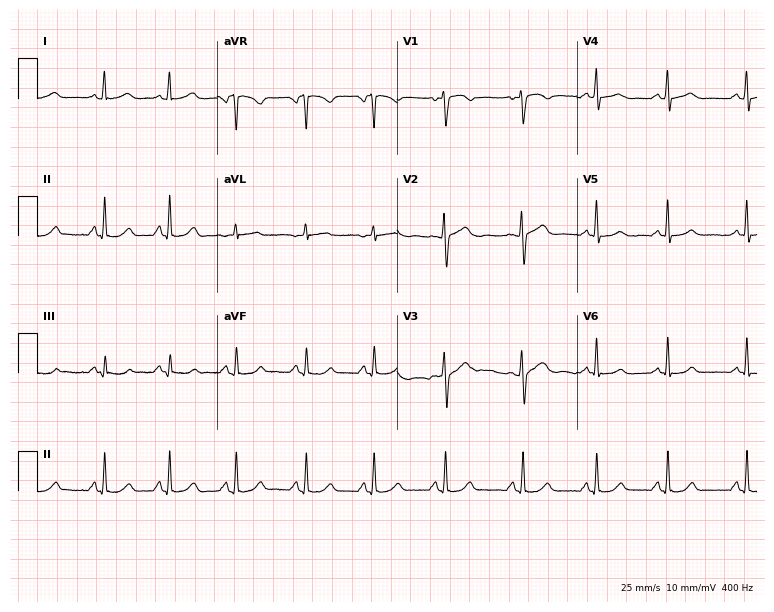
Resting 12-lead electrocardiogram (7.3-second recording at 400 Hz). Patient: a 33-year-old female. Read as a normal ECG.